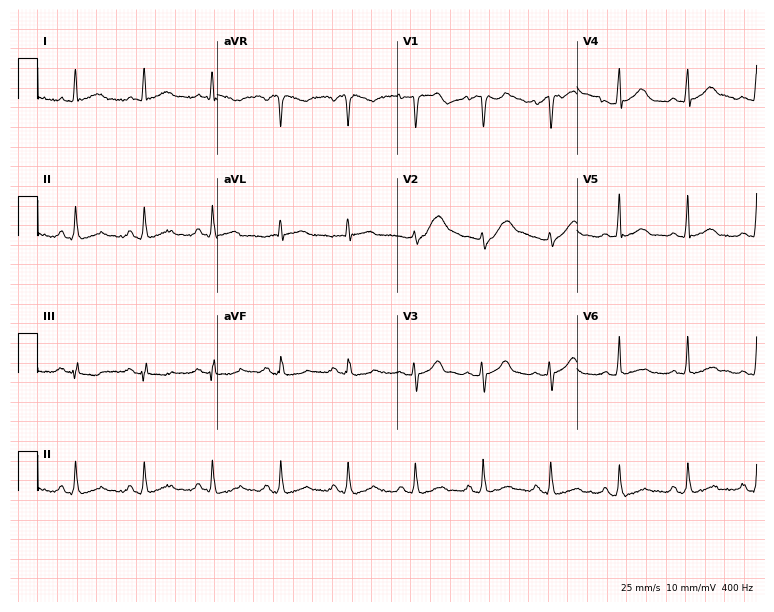
ECG (7.3-second recording at 400 Hz) — a male patient, 56 years old. Labelled as a normal ECG.